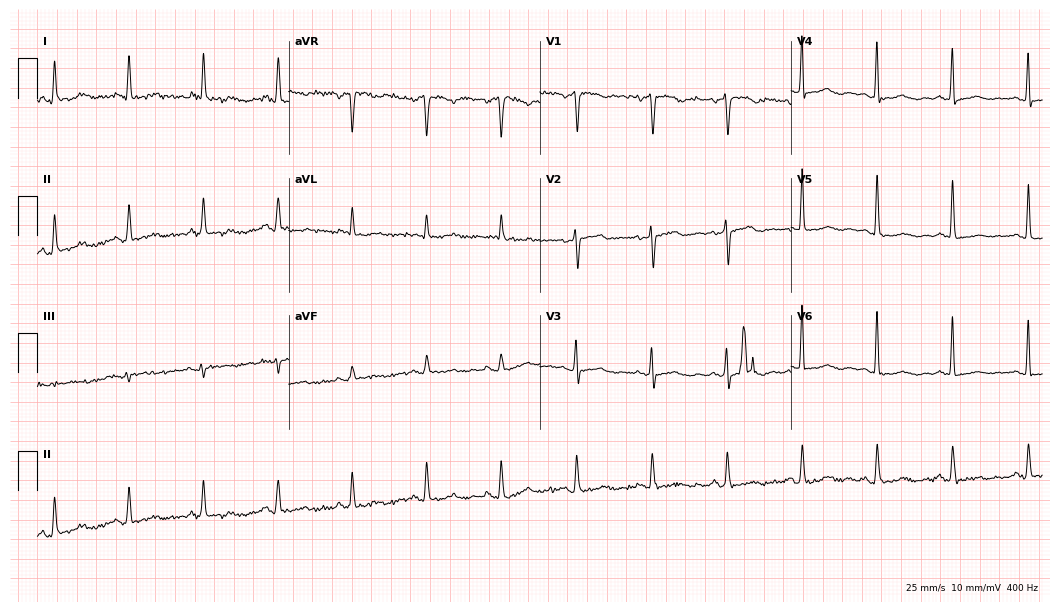
Resting 12-lead electrocardiogram. Patient: an 82-year-old woman. None of these six findings is recorded: first-degree AV block, right bundle branch block (RBBB), left bundle branch block (LBBB), sinus bradycardia, atrial fibrillation (AF), sinus tachycardia.